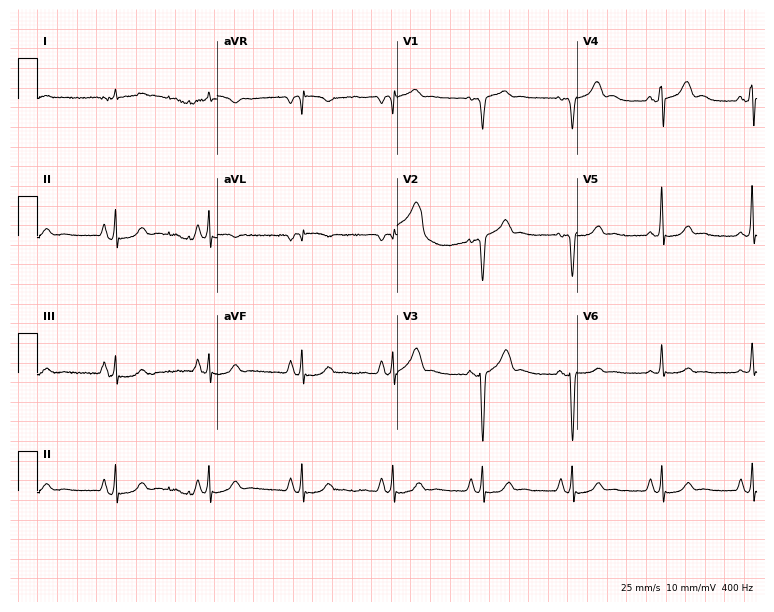
ECG (7.3-second recording at 400 Hz) — a 66-year-old male patient. Labelled as a normal ECG.